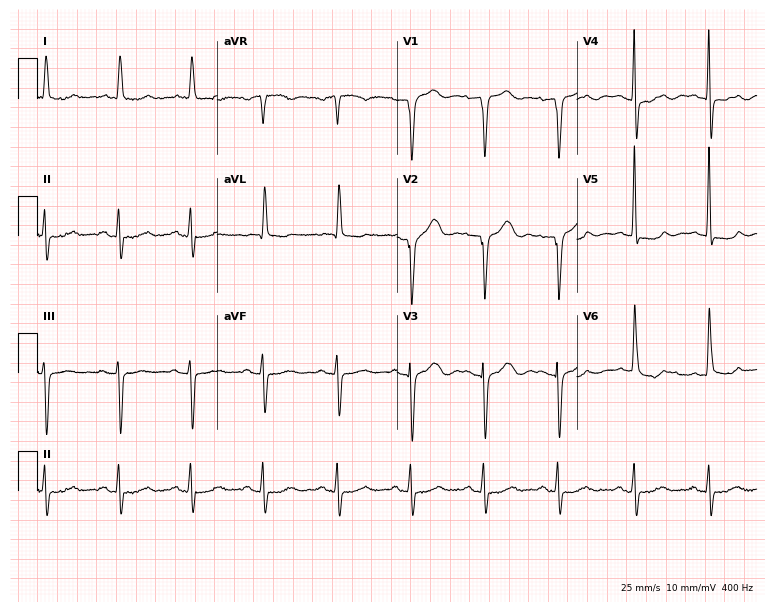
Standard 12-lead ECG recorded from a female patient, 75 years old. None of these six findings is recorded: first-degree AV block, right bundle branch block, left bundle branch block, sinus bradycardia, atrial fibrillation, sinus tachycardia. Findings outside these six are not listed.